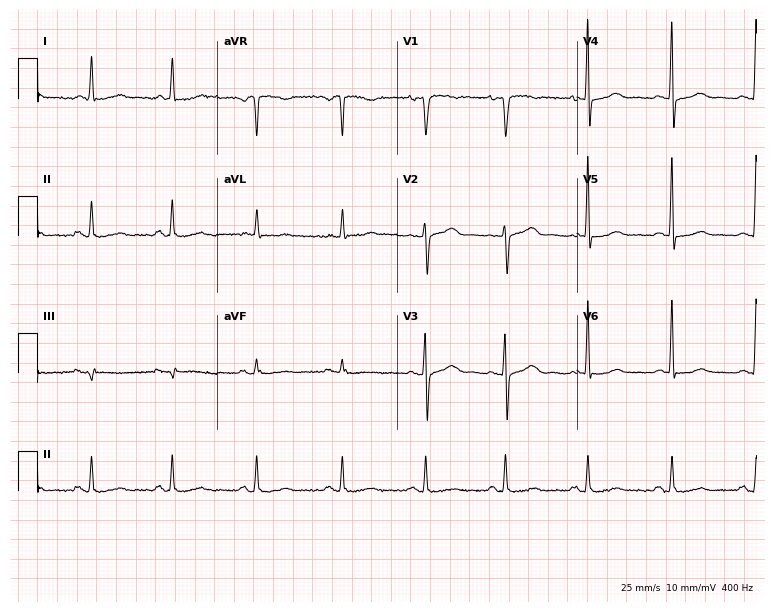
ECG (7.3-second recording at 400 Hz) — a 53-year-old female patient. Screened for six findings — first-degree AV block, right bundle branch block, left bundle branch block, sinus bradycardia, atrial fibrillation, sinus tachycardia — none is recorded. Other findings, if any, are not listed.